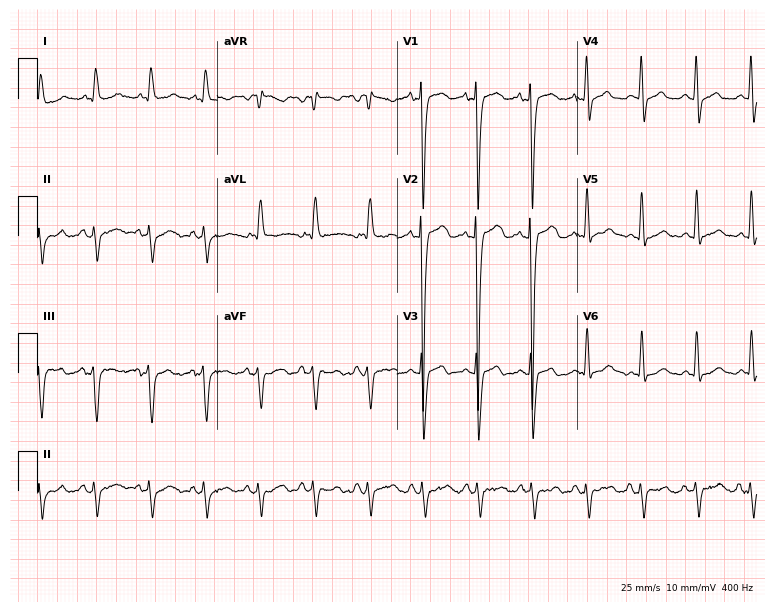
Electrocardiogram (7.3-second recording at 400 Hz), a 79-year-old female patient. Interpretation includes sinus tachycardia (a sinus rate of 100 beats per minute or more).